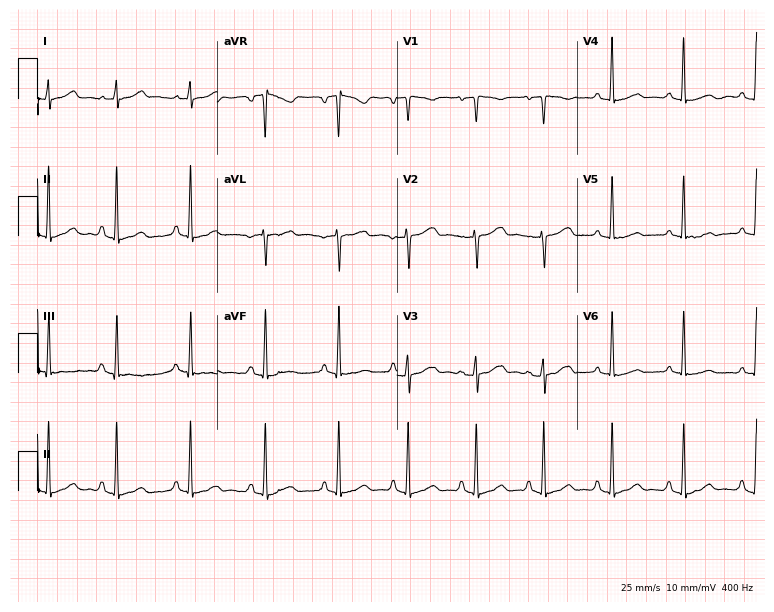
12-lead ECG (7.3-second recording at 400 Hz) from a female patient, 42 years old. Labelled as a normal ECG.